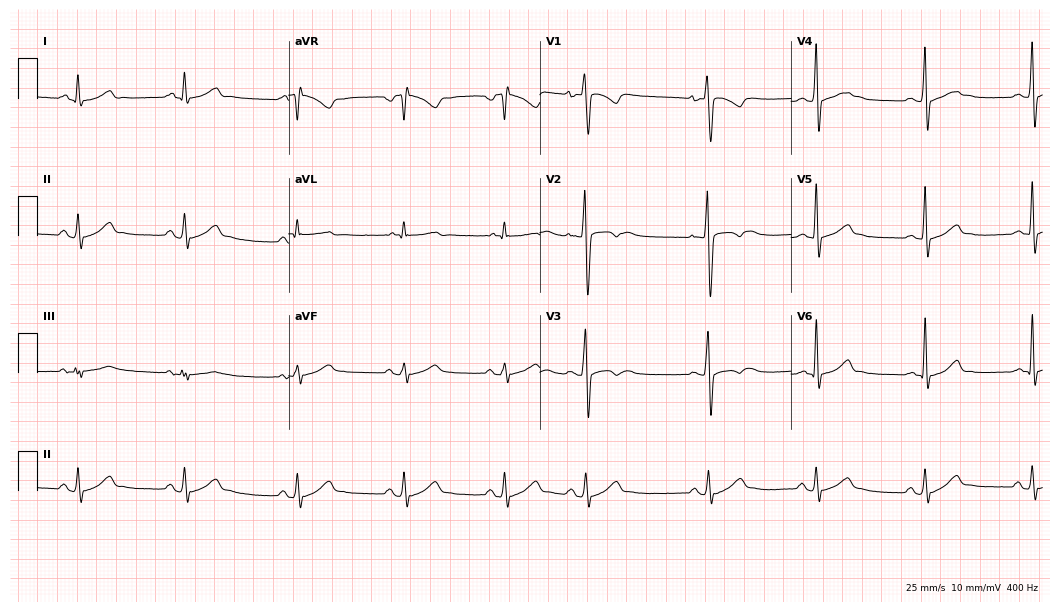
12-lead ECG from a male patient, 22 years old. Recorded interpretation: within normal limits.